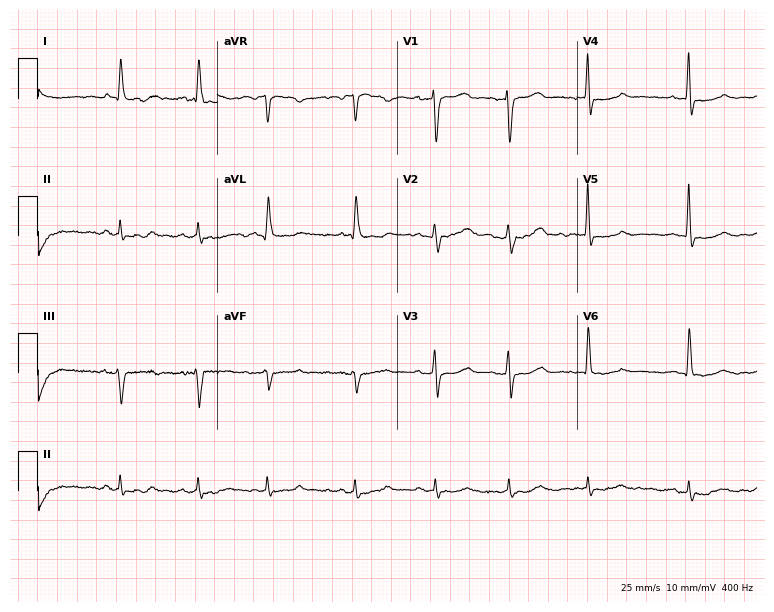
Standard 12-lead ECG recorded from a male, 85 years old. None of these six findings is recorded: first-degree AV block, right bundle branch block, left bundle branch block, sinus bradycardia, atrial fibrillation, sinus tachycardia.